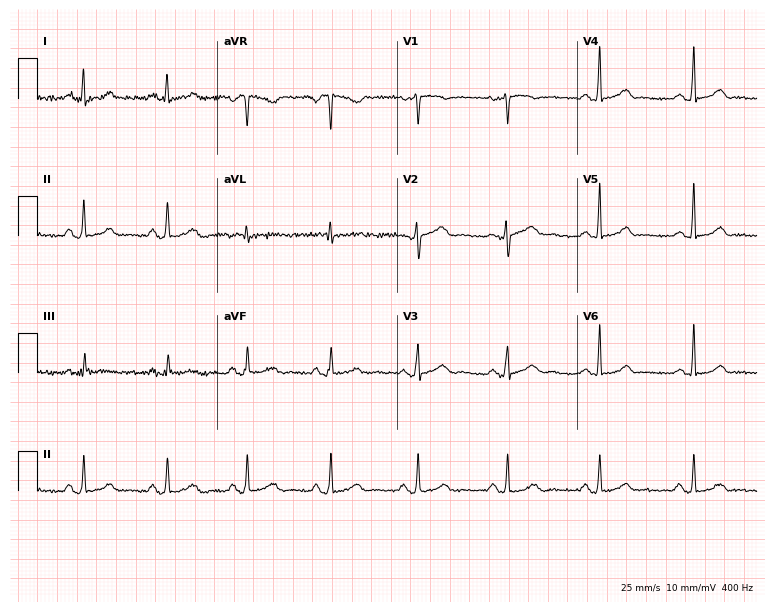
Electrocardiogram (7.3-second recording at 400 Hz), a 37-year-old female patient. Overall reading on record: normal ECG.